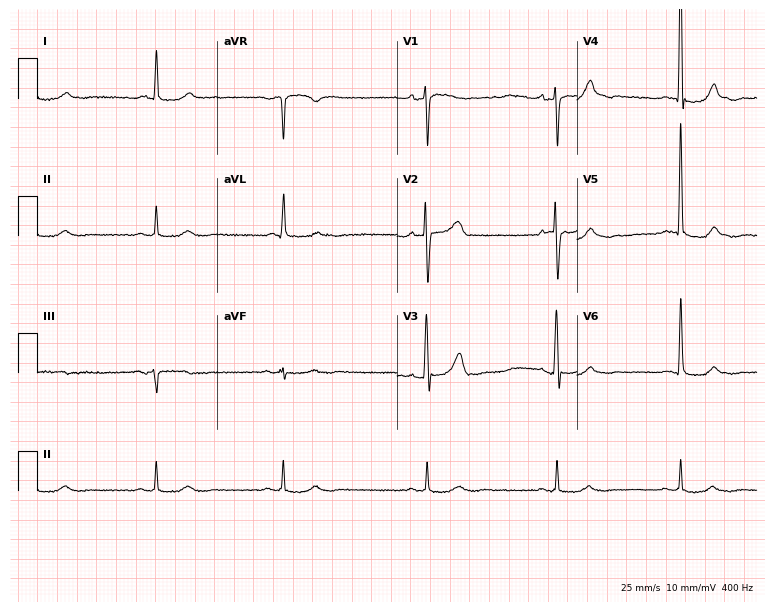
ECG — a male patient, 69 years old. Findings include sinus bradycardia (a sinus rate of 50 beats per minute or less).